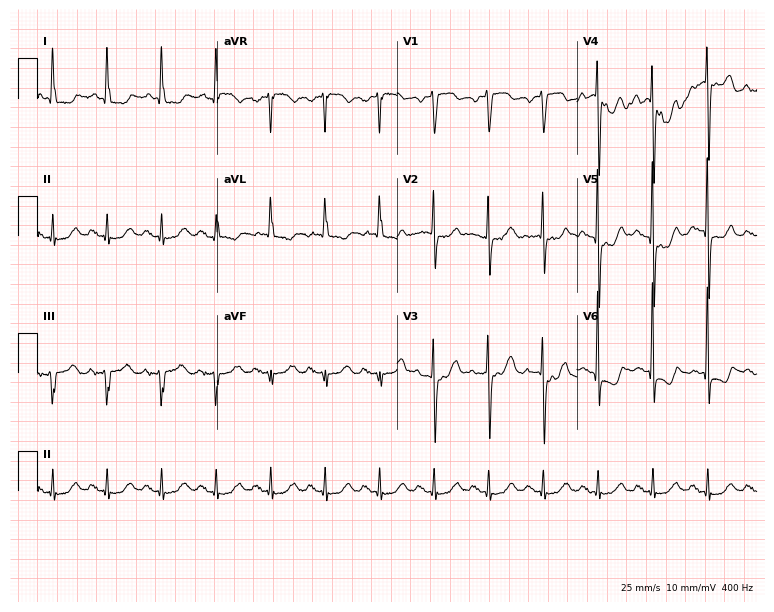
ECG — a 67-year-old male. Findings include sinus tachycardia (a sinus rate of 100 beats per minute or more).